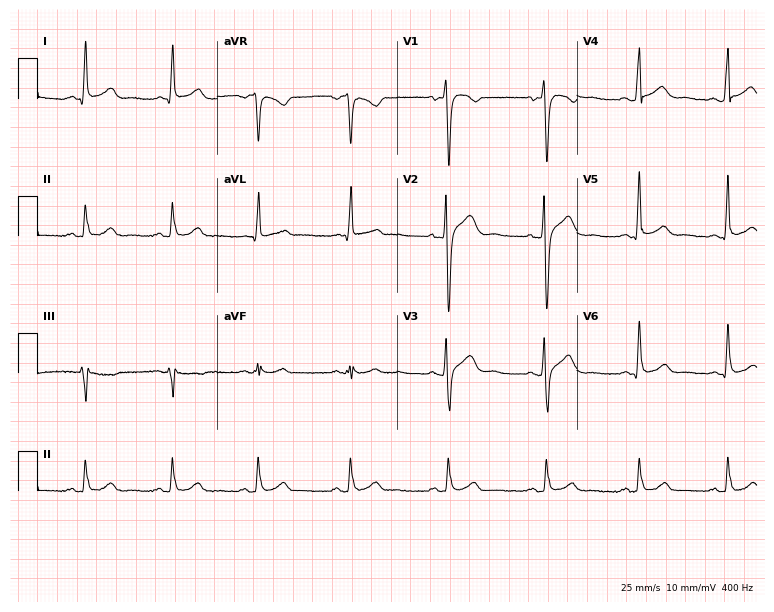
12-lead ECG from a 35-year-old male patient (7.3-second recording at 400 Hz). No first-degree AV block, right bundle branch block, left bundle branch block, sinus bradycardia, atrial fibrillation or sinus tachycardia recorded for this tracing. Findings outside these six are not listed.